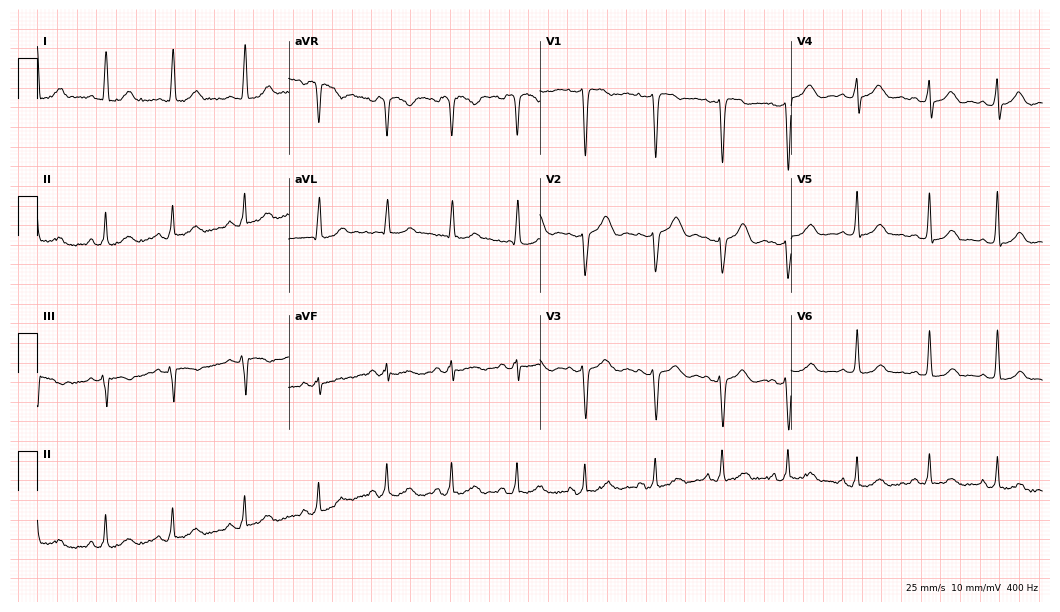
ECG (10.2-second recording at 400 Hz) — a 47-year-old female. Labelled as a normal ECG.